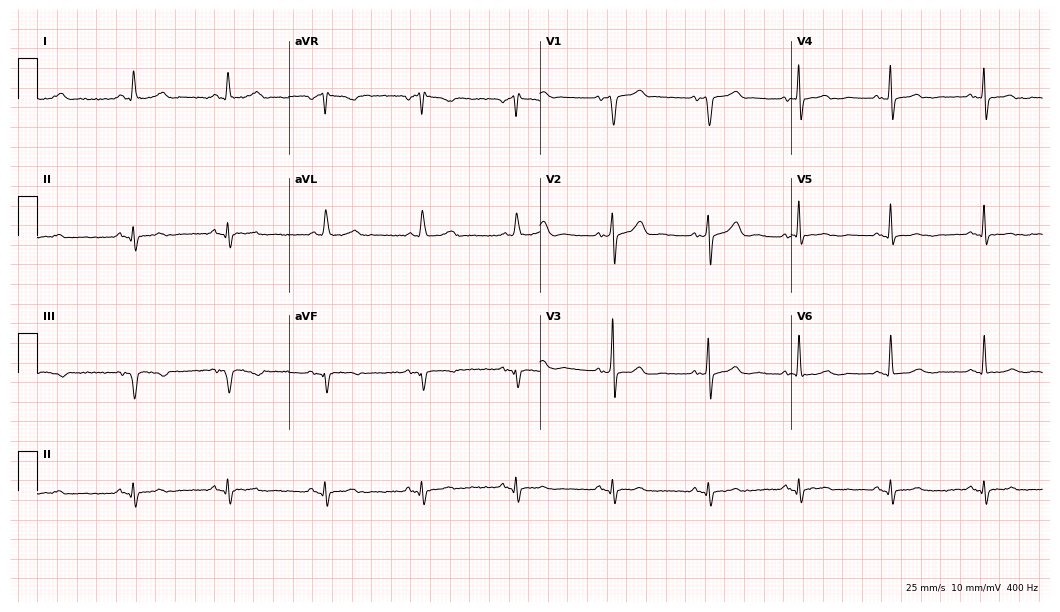
Resting 12-lead electrocardiogram (10.2-second recording at 400 Hz). Patient: a male, 84 years old. None of these six findings is recorded: first-degree AV block, right bundle branch block, left bundle branch block, sinus bradycardia, atrial fibrillation, sinus tachycardia.